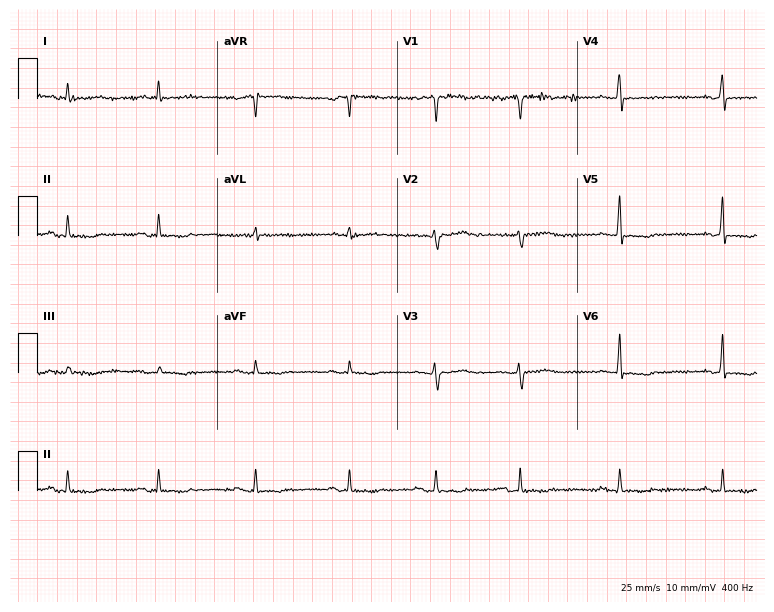
12-lead ECG from a female patient, 28 years old. Screened for six findings — first-degree AV block, right bundle branch block (RBBB), left bundle branch block (LBBB), sinus bradycardia, atrial fibrillation (AF), sinus tachycardia — none is recorded. Findings outside these six are not listed.